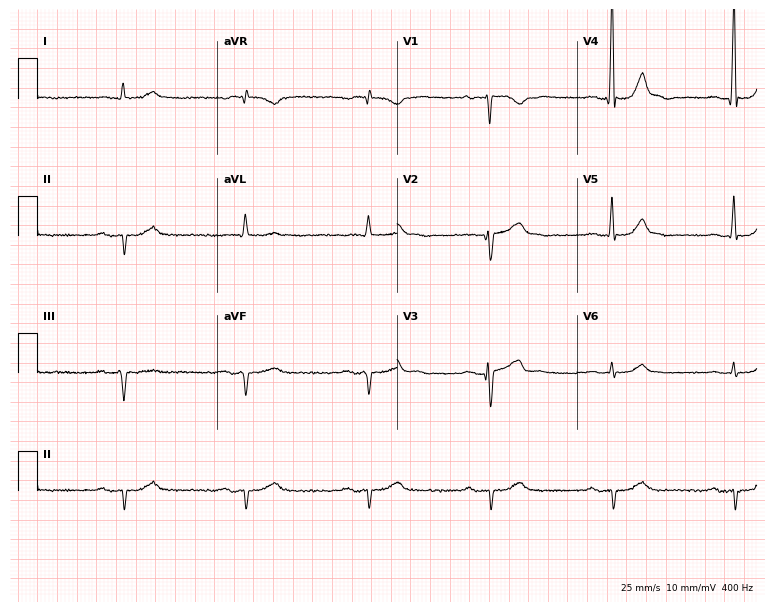
ECG — a female patient, 78 years old. Findings include sinus bradycardia (a sinus rate of 50 beats per minute or less).